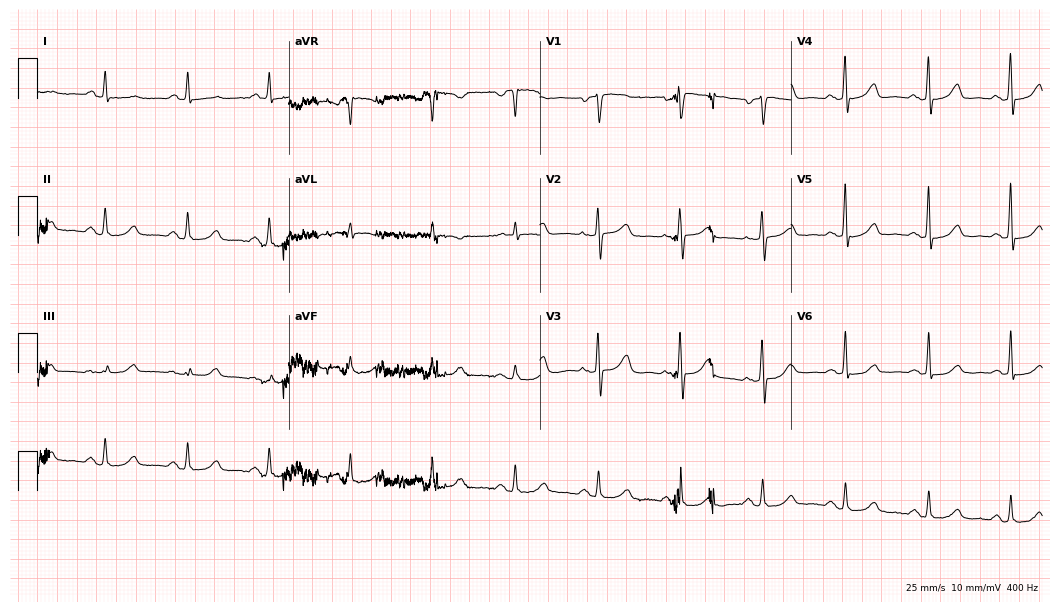
Standard 12-lead ECG recorded from a female, 71 years old (10.2-second recording at 400 Hz). None of these six findings is recorded: first-degree AV block, right bundle branch block (RBBB), left bundle branch block (LBBB), sinus bradycardia, atrial fibrillation (AF), sinus tachycardia.